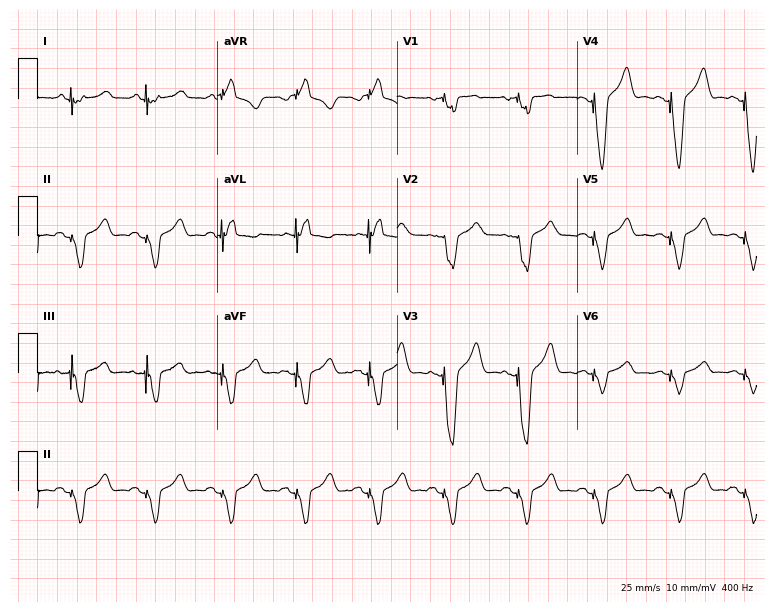
Standard 12-lead ECG recorded from a woman, 69 years old. None of these six findings is recorded: first-degree AV block, right bundle branch block (RBBB), left bundle branch block (LBBB), sinus bradycardia, atrial fibrillation (AF), sinus tachycardia. Only these six findings were labelled.